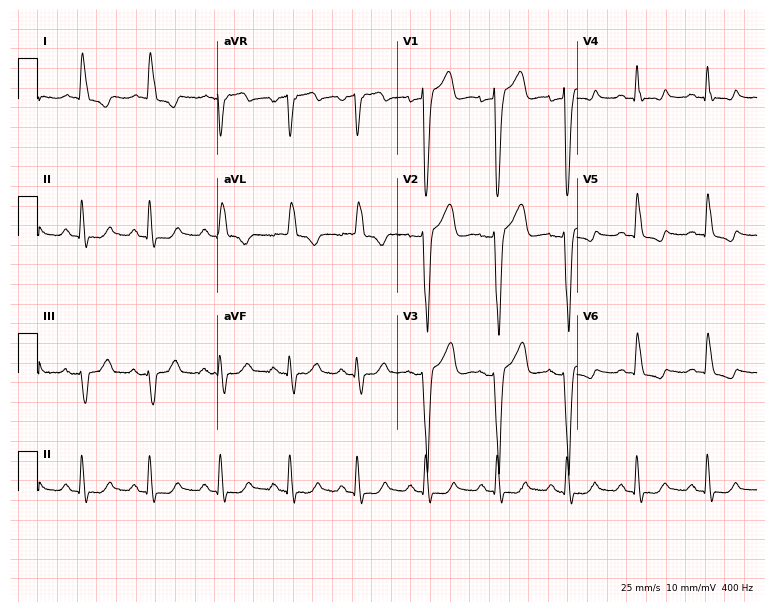
Resting 12-lead electrocardiogram (7.3-second recording at 400 Hz). Patient: a female, 85 years old. The tracing shows left bundle branch block.